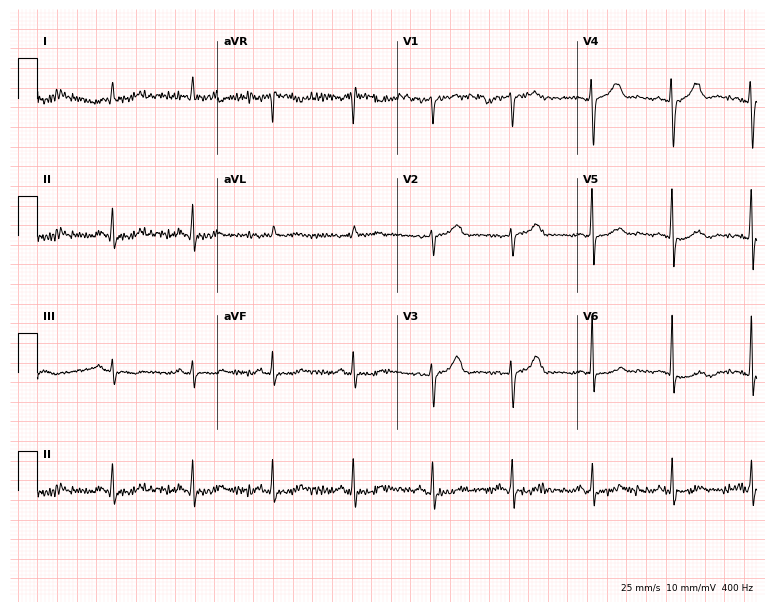
Resting 12-lead electrocardiogram (7.3-second recording at 400 Hz). Patient: a woman, 76 years old. None of these six findings is recorded: first-degree AV block, right bundle branch block (RBBB), left bundle branch block (LBBB), sinus bradycardia, atrial fibrillation (AF), sinus tachycardia.